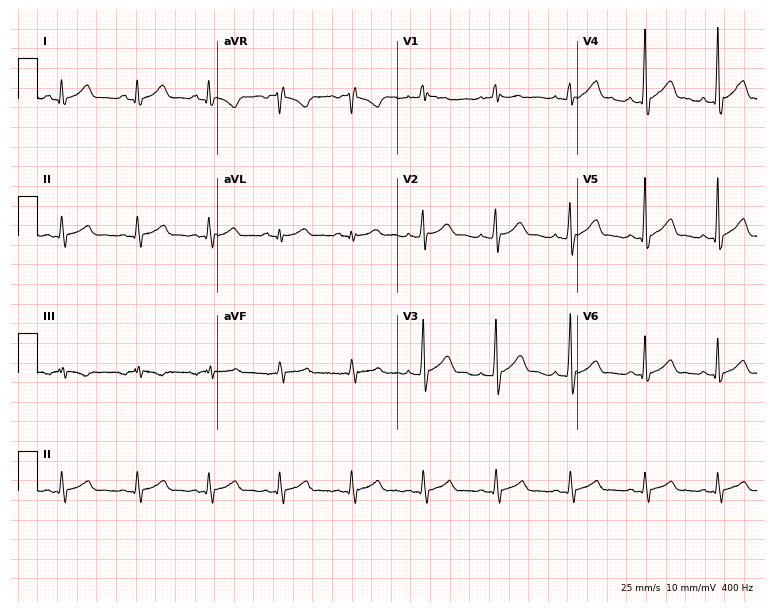
ECG (7.3-second recording at 400 Hz) — a male, 31 years old. Labelled as a normal ECG.